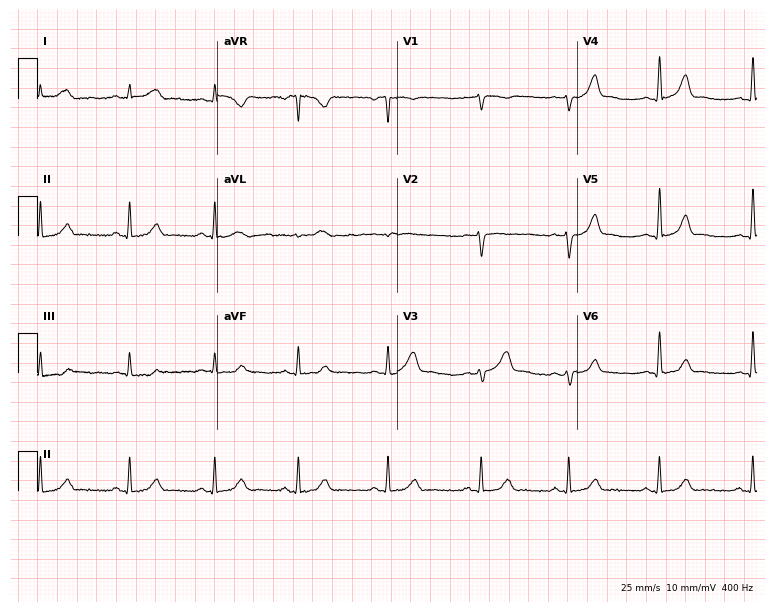
Standard 12-lead ECG recorded from a female, 41 years old. None of these six findings is recorded: first-degree AV block, right bundle branch block (RBBB), left bundle branch block (LBBB), sinus bradycardia, atrial fibrillation (AF), sinus tachycardia. Findings outside these six are not listed.